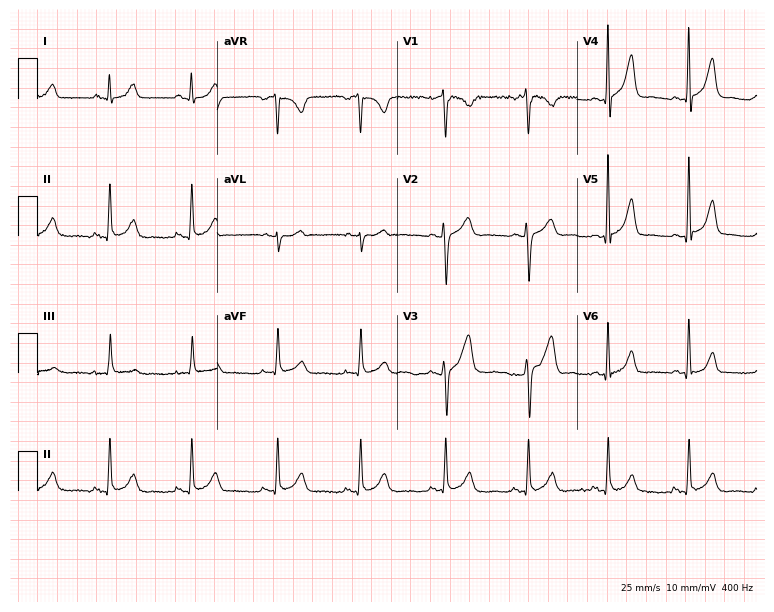
ECG — a 42-year-old man. Labelled as a normal ECG.